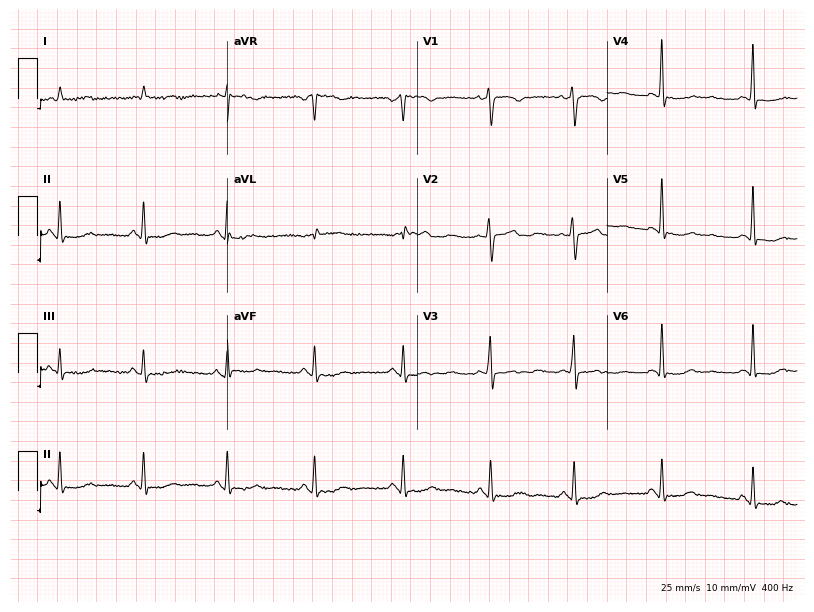
Resting 12-lead electrocardiogram. Patient: a female, 49 years old. None of these six findings is recorded: first-degree AV block, right bundle branch block, left bundle branch block, sinus bradycardia, atrial fibrillation, sinus tachycardia. Findings outside these six are not listed.